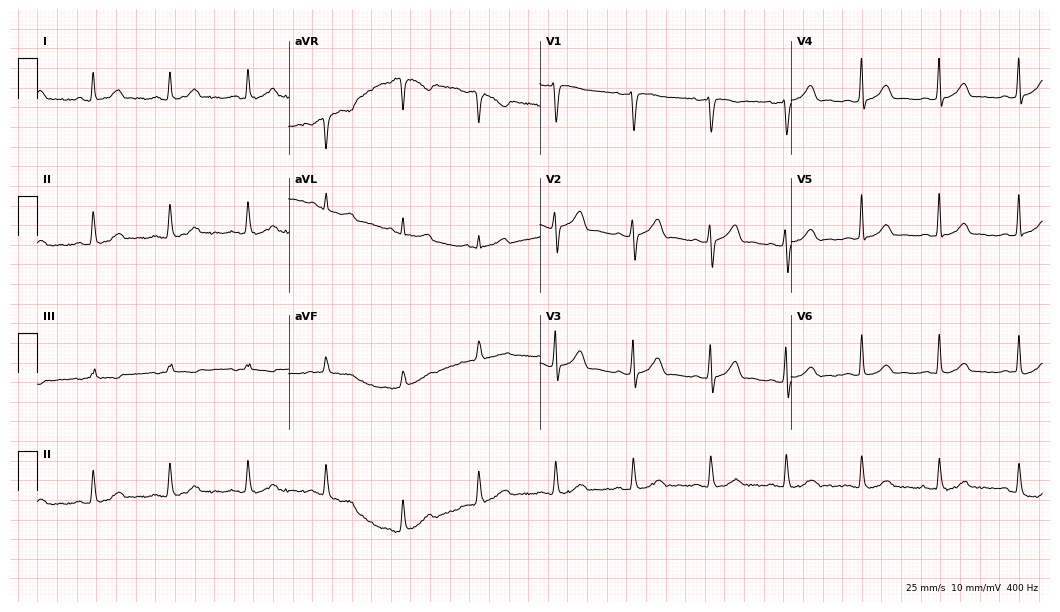
12-lead ECG from a 41-year-old woman (10.2-second recording at 400 Hz). Recorded interpretation: within normal limits.